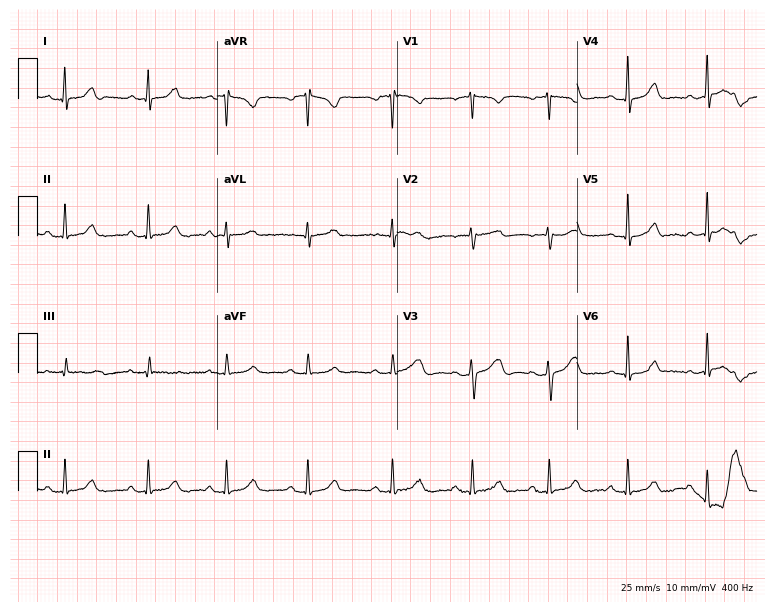
Resting 12-lead electrocardiogram. Patient: a 21-year-old female. Read as a normal ECG.